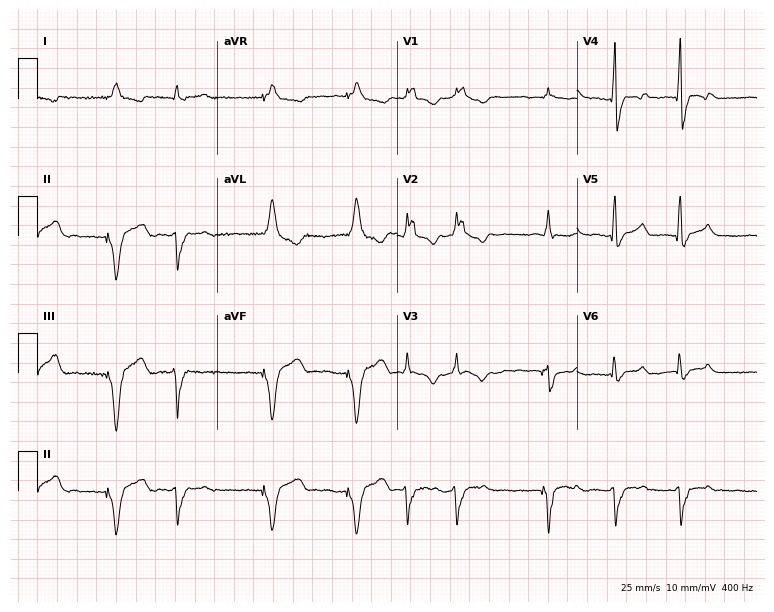
Electrocardiogram, a male, 81 years old. Of the six screened findings (first-degree AV block, right bundle branch block, left bundle branch block, sinus bradycardia, atrial fibrillation, sinus tachycardia), none is recorded.